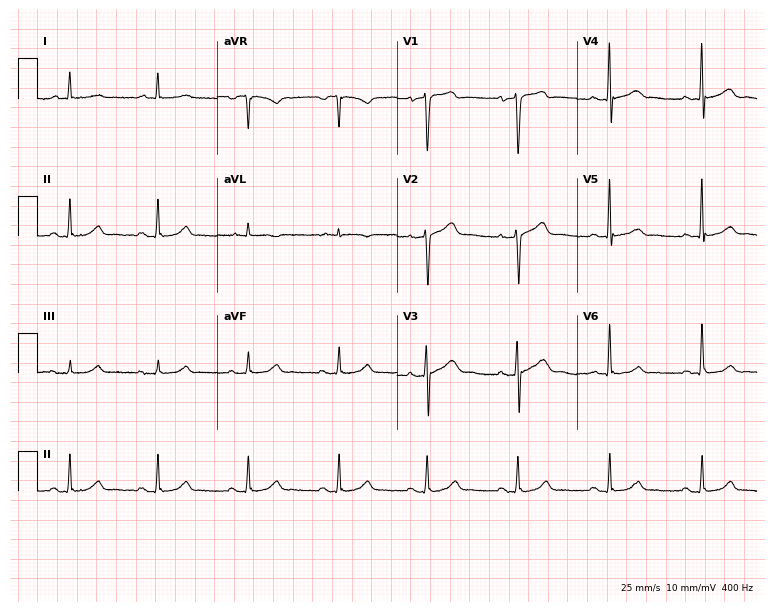
ECG (7.3-second recording at 400 Hz) — a male, 67 years old. Screened for six findings — first-degree AV block, right bundle branch block (RBBB), left bundle branch block (LBBB), sinus bradycardia, atrial fibrillation (AF), sinus tachycardia — none is recorded.